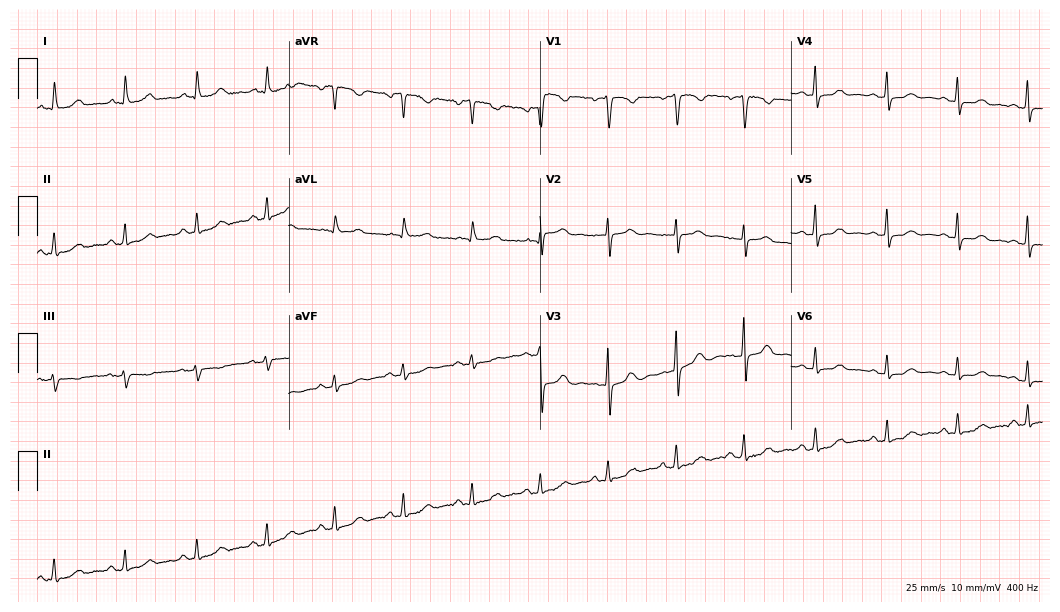
12-lead ECG from a 70-year-old female (10.2-second recording at 400 Hz). No first-degree AV block, right bundle branch block (RBBB), left bundle branch block (LBBB), sinus bradycardia, atrial fibrillation (AF) or sinus tachycardia recorded for this tracing. Other findings, if any, are not listed.